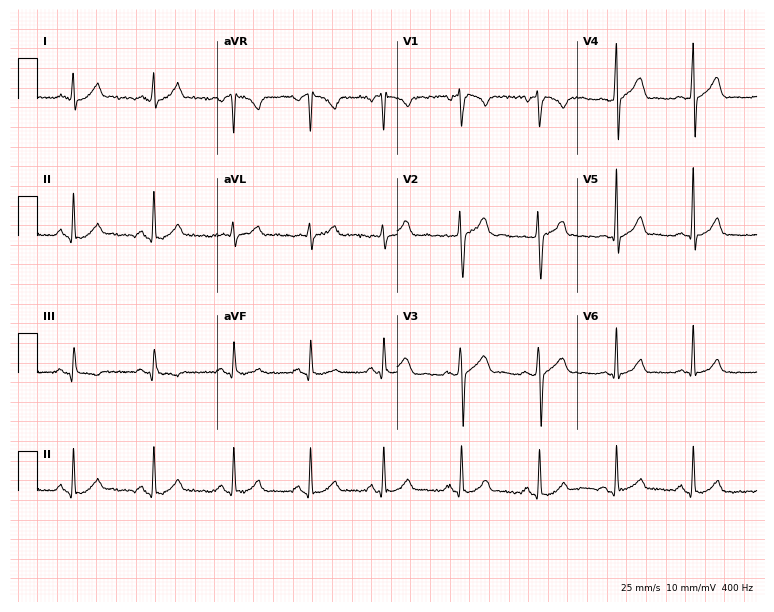
12-lead ECG (7.3-second recording at 400 Hz) from a man, 29 years old. Labelled as a normal ECG.